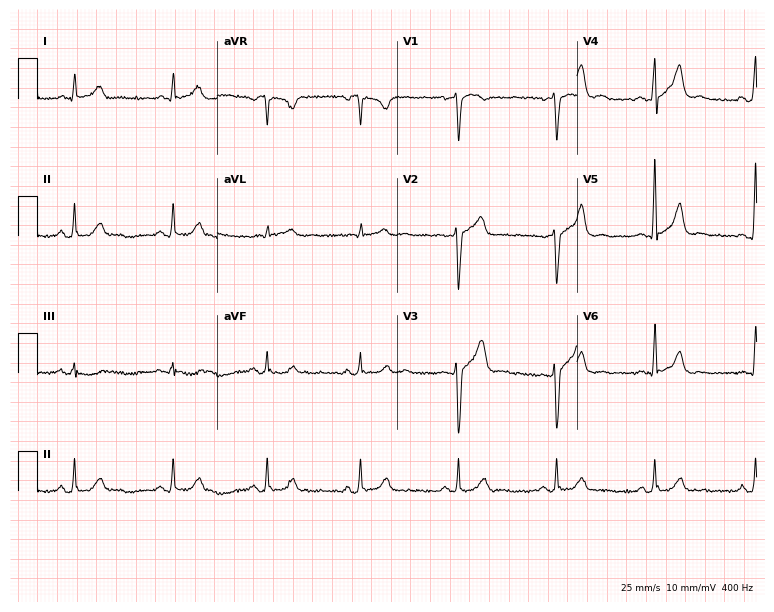
Resting 12-lead electrocardiogram (7.3-second recording at 400 Hz). Patient: a 46-year-old male. None of these six findings is recorded: first-degree AV block, right bundle branch block, left bundle branch block, sinus bradycardia, atrial fibrillation, sinus tachycardia. Only these six findings were labelled.